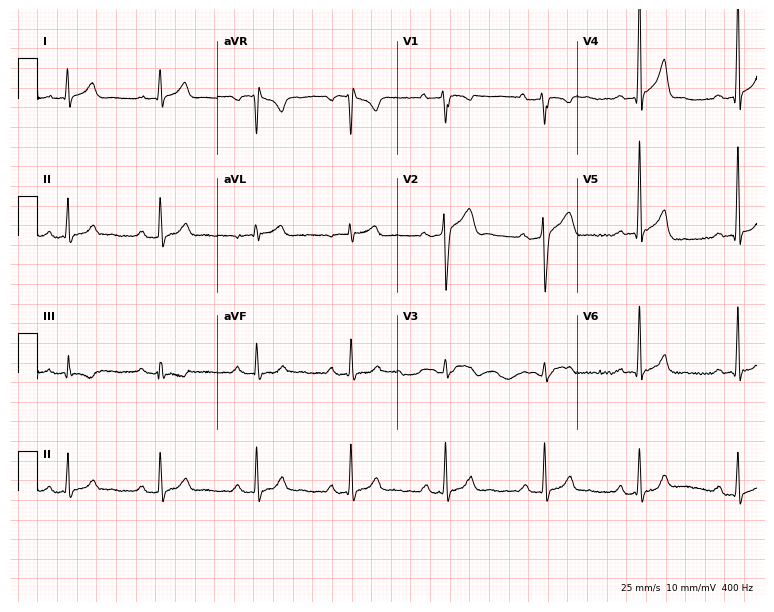
Electrocardiogram (7.3-second recording at 400 Hz), a 32-year-old male. Overall reading on record: normal ECG.